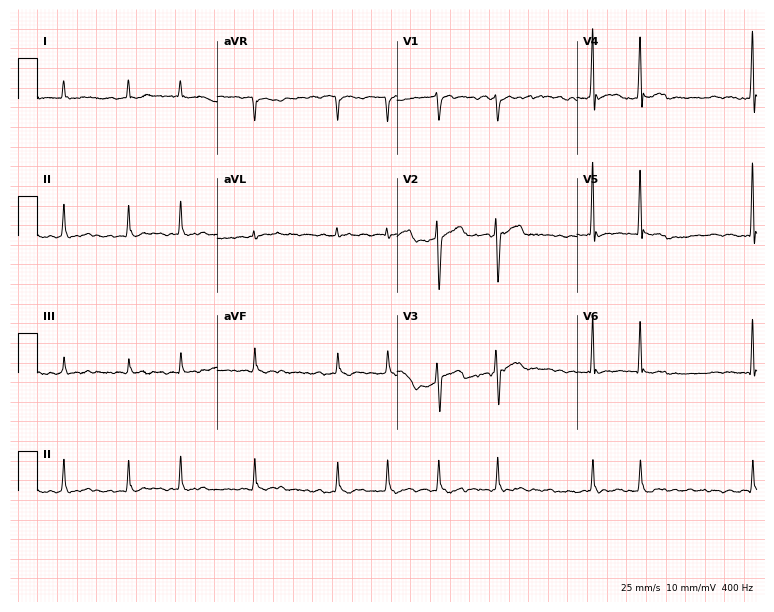
Electrocardiogram (7.3-second recording at 400 Hz), a 64-year-old man. Interpretation includes atrial fibrillation.